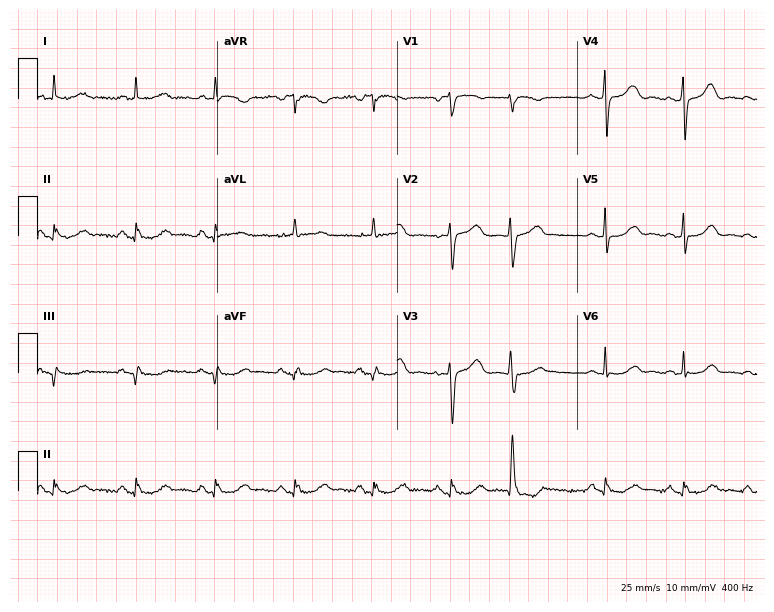
12-lead ECG from a 75-year-old woman. Recorded interpretation: within normal limits.